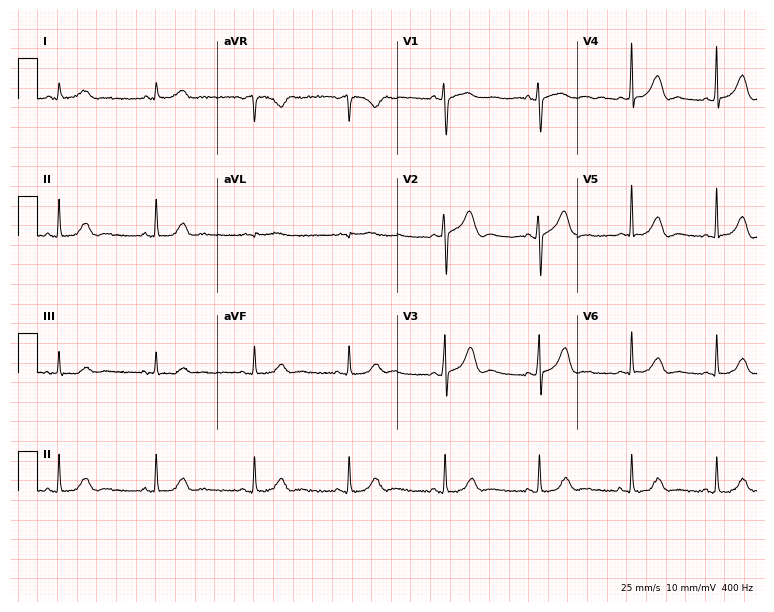
12-lead ECG from a woman, 56 years old. Recorded interpretation: within normal limits.